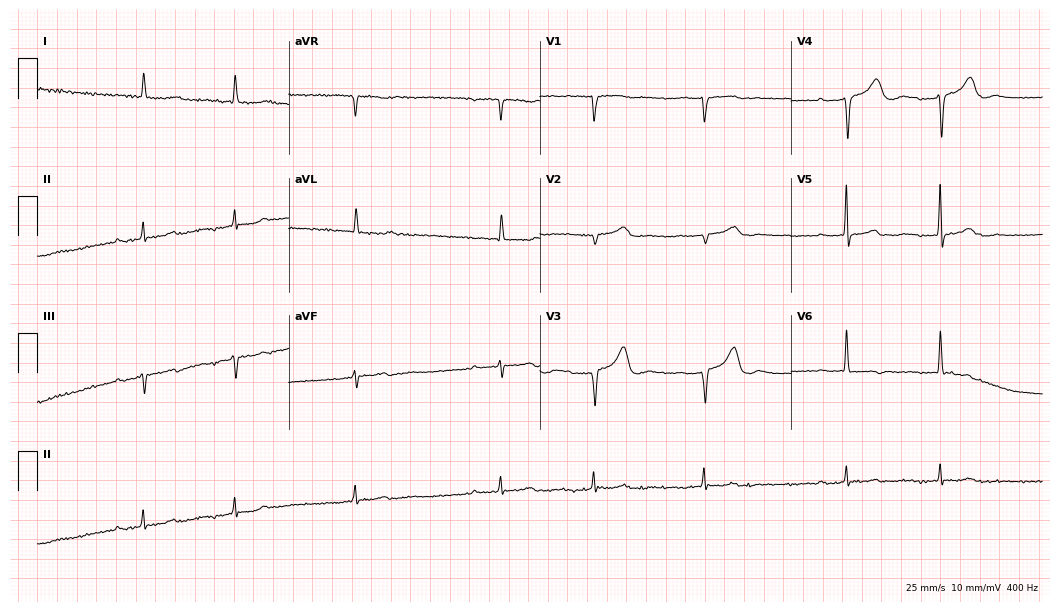
12-lead ECG from a female, 85 years old (10.2-second recording at 400 Hz). No first-degree AV block, right bundle branch block, left bundle branch block, sinus bradycardia, atrial fibrillation or sinus tachycardia recorded for this tracing. Other findings, if any, are not listed.